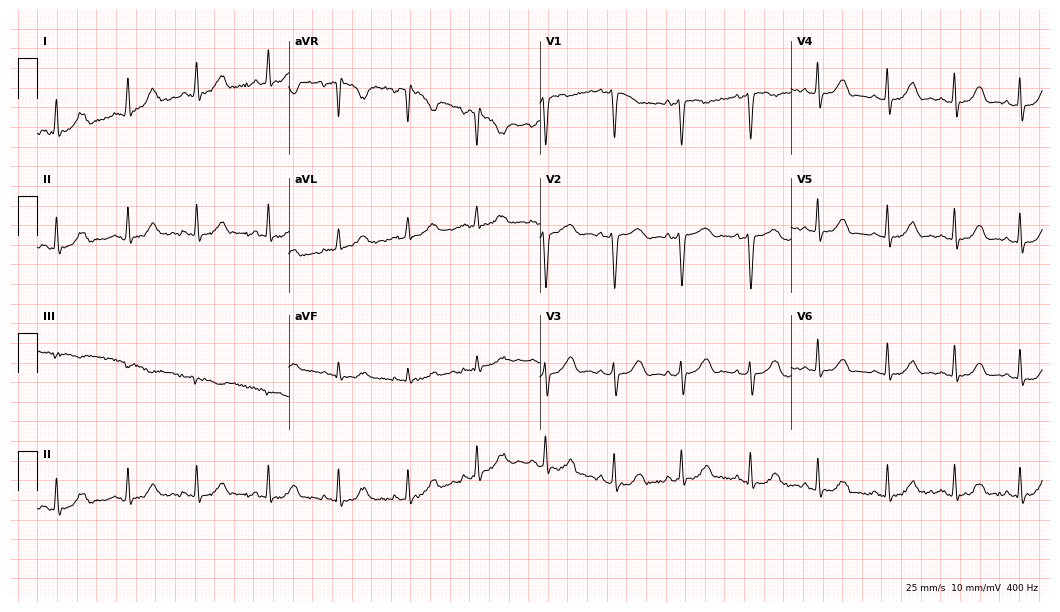
12-lead ECG from a 44-year-old female patient (10.2-second recording at 400 Hz). No first-degree AV block, right bundle branch block, left bundle branch block, sinus bradycardia, atrial fibrillation or sinus tachycardia recorded for this tracing.